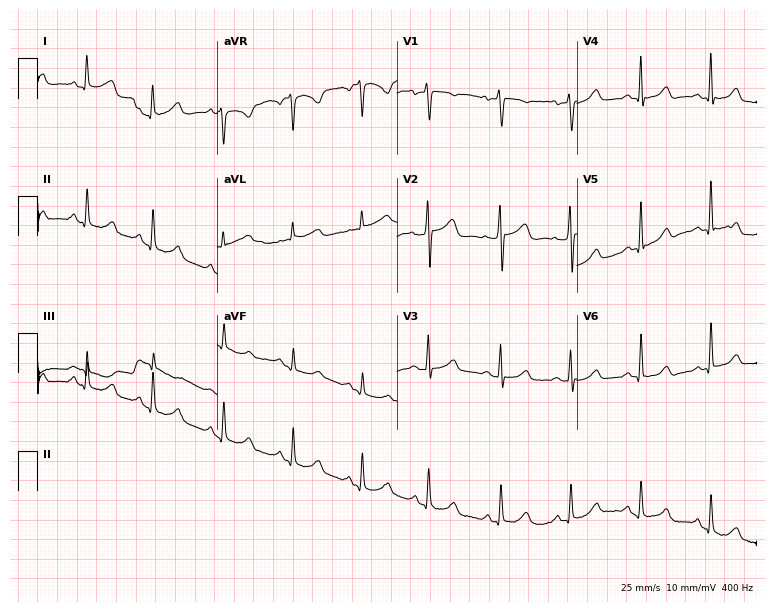
Electrocardiogram (7.3-second recording at 400 Hz), a female, 64 years old. Of the six screened findings (first-degree AV block, right bundle branch block (RBBB), left bundle branch block (LBBB), sinus bradycardia, atrial fibrillation (AF), sinus tachycardia), none is recorded. Findings outside these six are not listed.